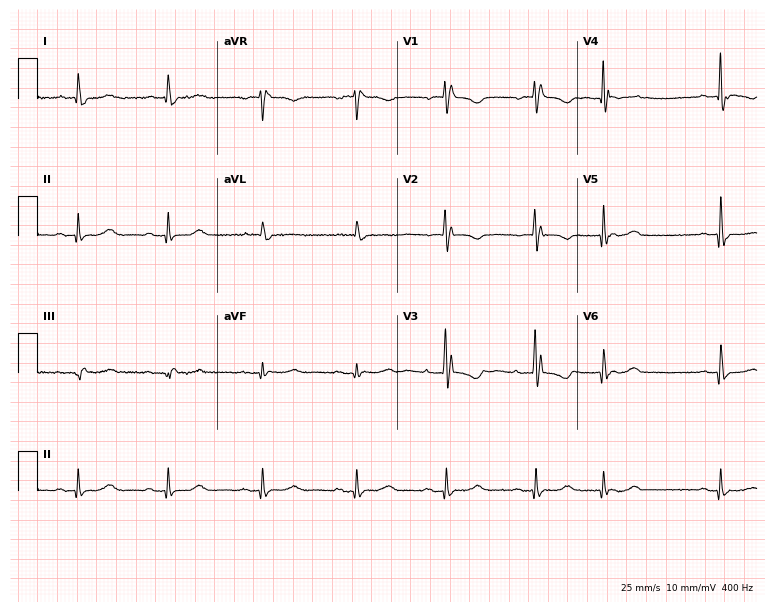
Electrocardiogram (7.3-second recording at 400 Hz), a female, 70 years old. Of the six screened findings (first-degree AV block, right bundle branch block, left bundle branch block, sinus bradycardia, atrial fibrillation, sinus tachycardia), none is recorded.